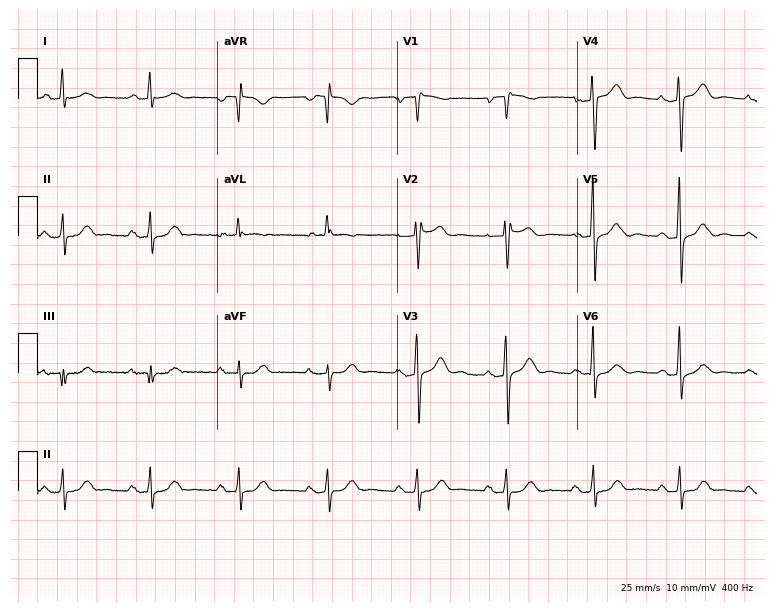
Electrocardiogram, a 64-year-old female patient. Of the six screened findings (first-degree AV block, right bundle branch block, left bundle branch block, sinus bradycardia, atrial fibrillation, sinus tachycardia), none is recorded.